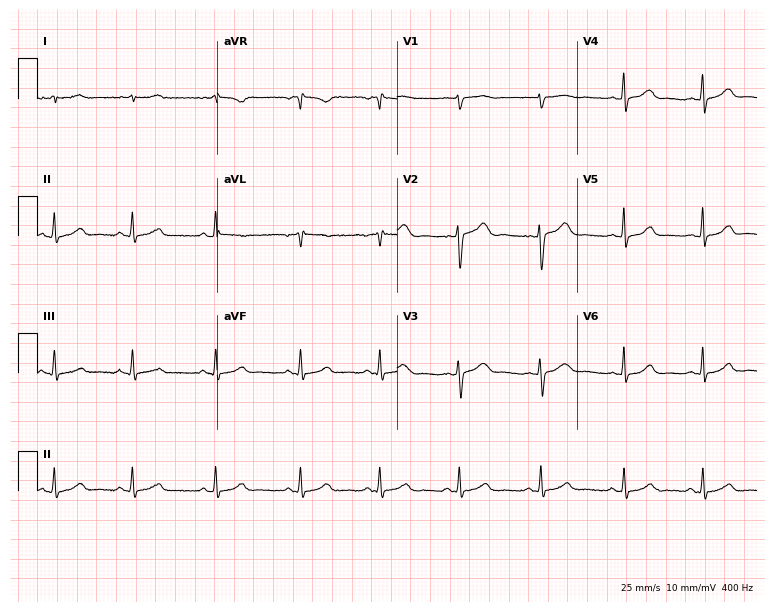
Standard 12-lead ECG recorded from a female, 35 years old. None of these six findings is recorded: first-degree AV block, right bundle branch block (RBBB), left bundle branch block (LBBB), sinus bradycardia, atrial fibrillation (AF), sinus tachycardia. Only these six findings were labelled.